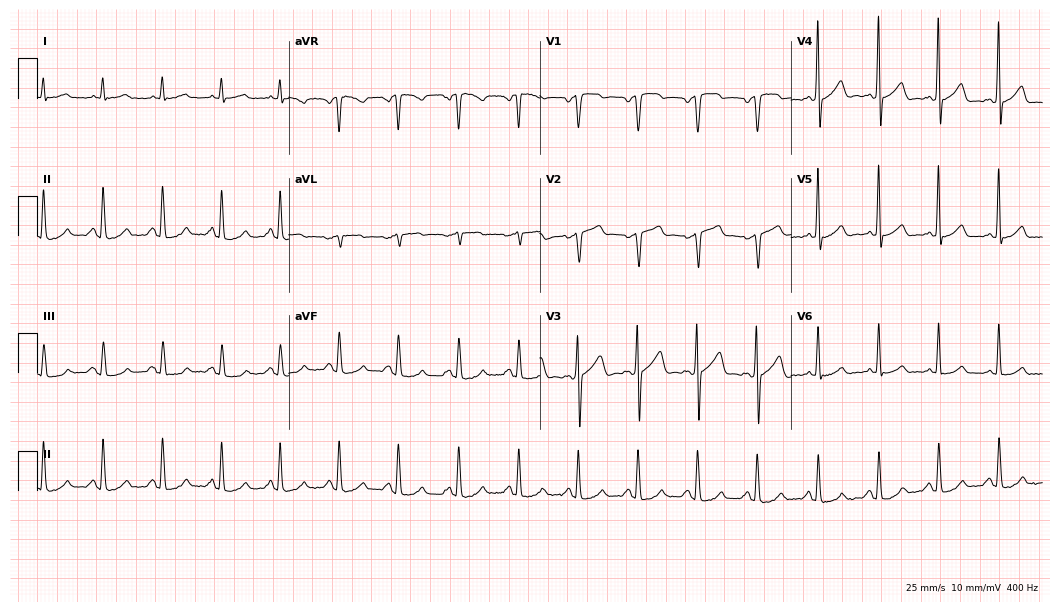
ECG (10.2-second recording at 400 Hz) — a 66-year-old male patient. Screened for six findings — first-degree AV block, right bundle branch block, left bundle branch block, sinus bradycardia, atrial fibrillation, sinus tachycardia — none is recorded. Only these six findings were labelled.